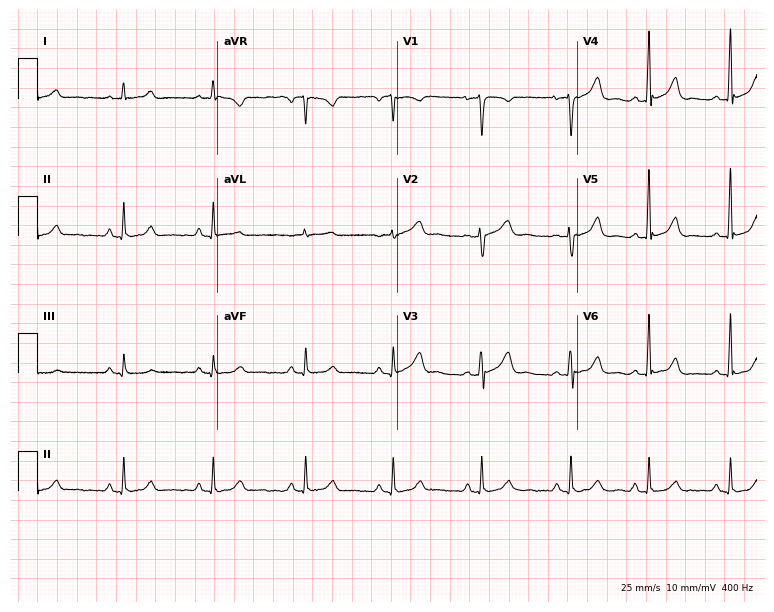
Resting 12-lead electrocardiogram. Patient: a woman, 35 years old. None of these six findings is recorded: first-degree AV block, right bundle branch block, left bundle branch block, sinus bradycardia, atrial fibrillation, sinus tachycardia. Other findings, if any, are not listed.